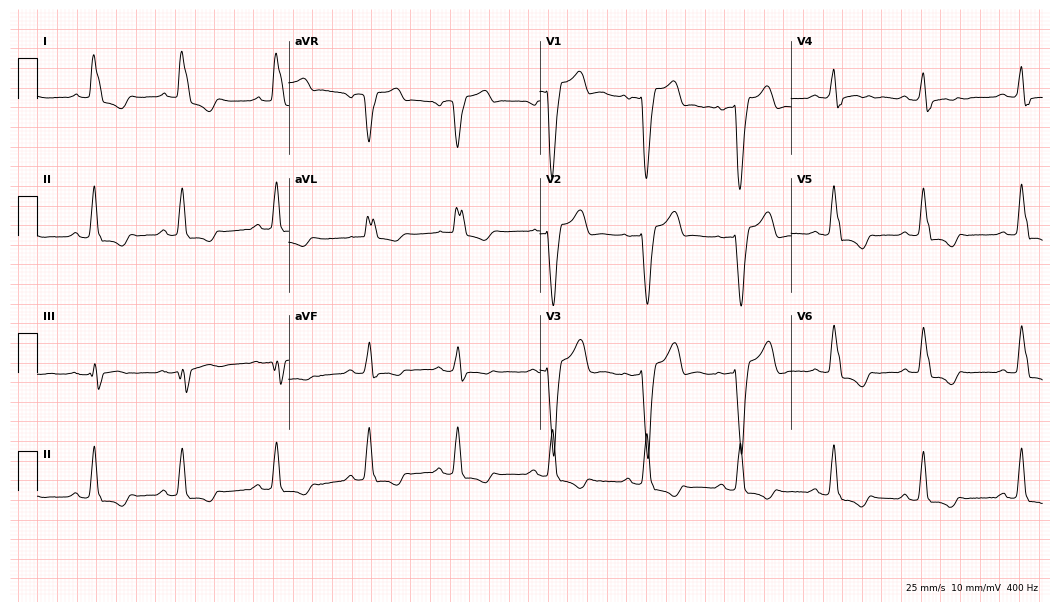
ECG — a female patient, 66 years old. Findings include left bundle branch block (LBBB).